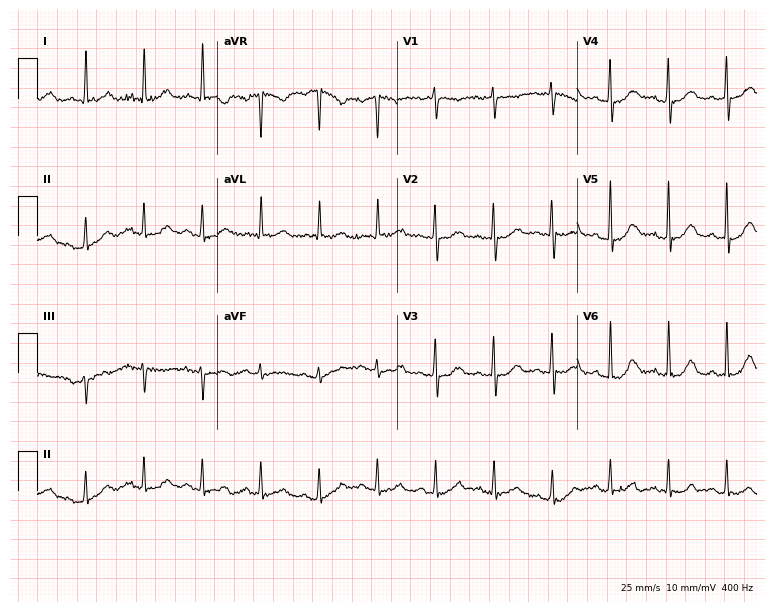
Resting 12-lead electrocardiogram. Patient: an 82-year-old woman. Read as a normal ECG.